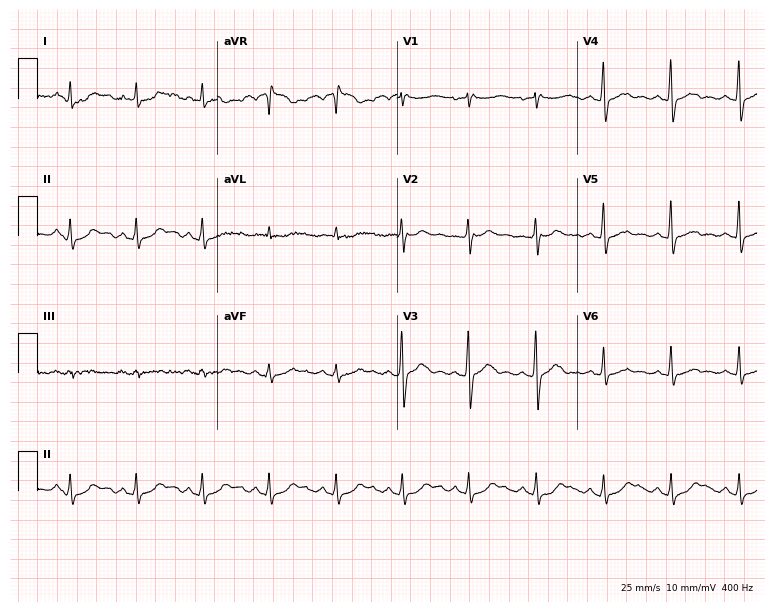
12-lead ECG from a male, 48 years old. Recorded interpretation: within normal limits.